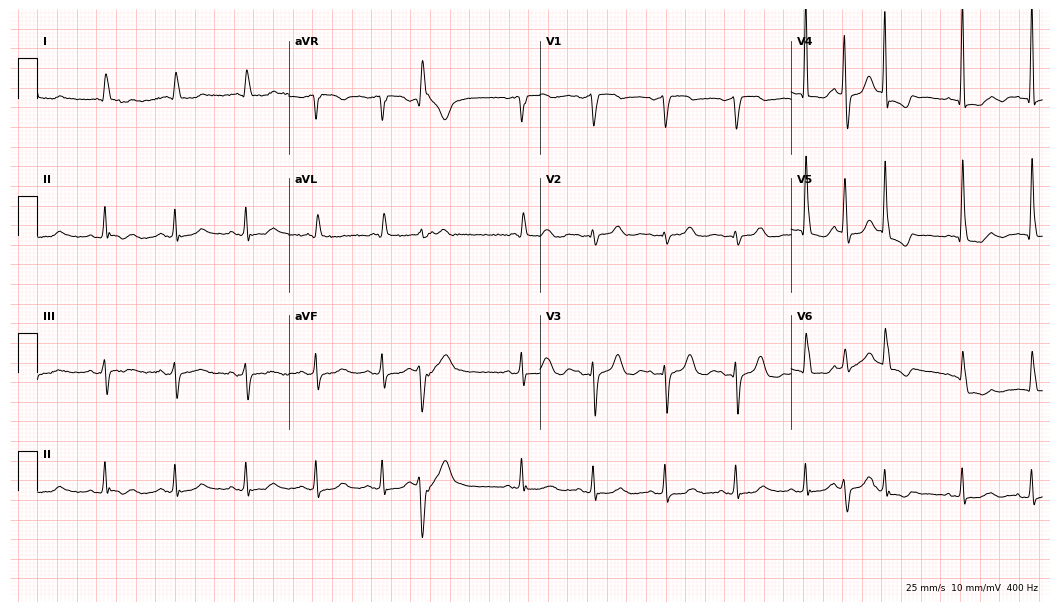
Standard 12-lead ECG recorded from a female, 75 years old. None of these six findings is recorded: first-degree AV block, right bundle branch block, left bundle branch block, sinus bradycardia, atrial fibrillation, sinus tachycardia. Other findings, if any, are not listed.